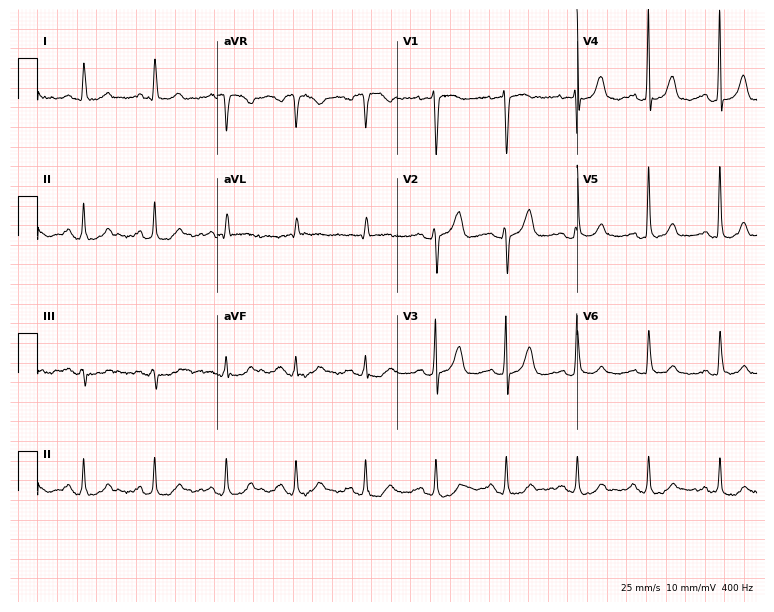
Standard 12-lead ECG recorded from a woman, 75 years old. None of these six findings is recorded: first-degree AV block, right bundle branch block, left bundle branch block, sinus bradycardia, atrial fibrillation, sinus tachycardia.